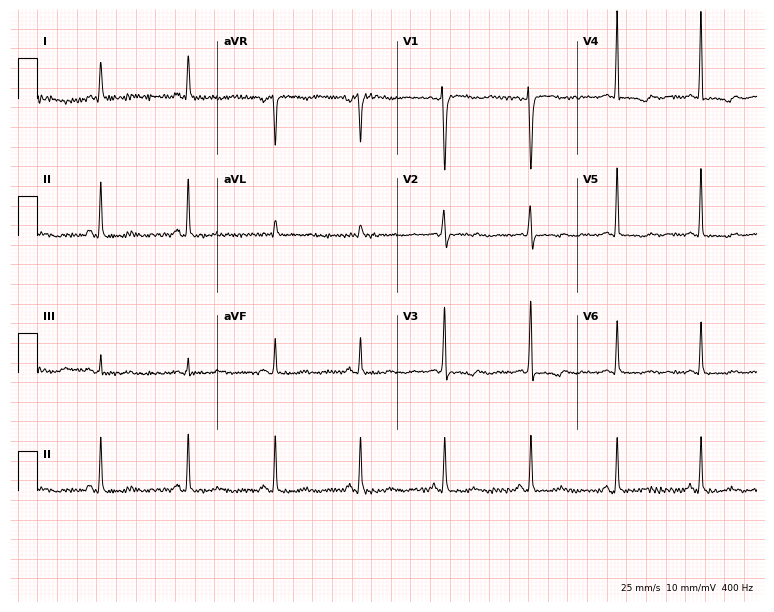
Standard 12-lead ECG recorded from a woman, 56 years old. None of these six findings is recorded: first-degree AV block, right bundle branch block (RBBB), left bundle branch block (LBBB), sinus bradycardia, atrial fibrillation (AF), sinus tachycardia.